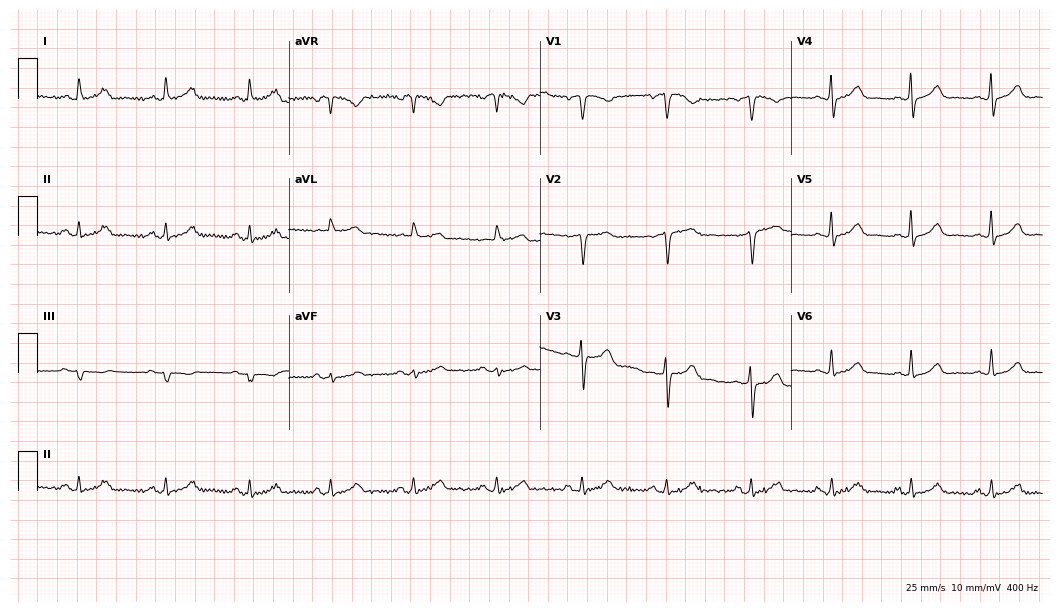
12-lead ECG from a 57-year-old woman. Screened for six findings — first-degree AV block, right bundle branch block (RBBB), left bundle branch block (LBBB), sinus bradycardia, atrial fibrillation (AF), sinus tachycardia — none is recorded.